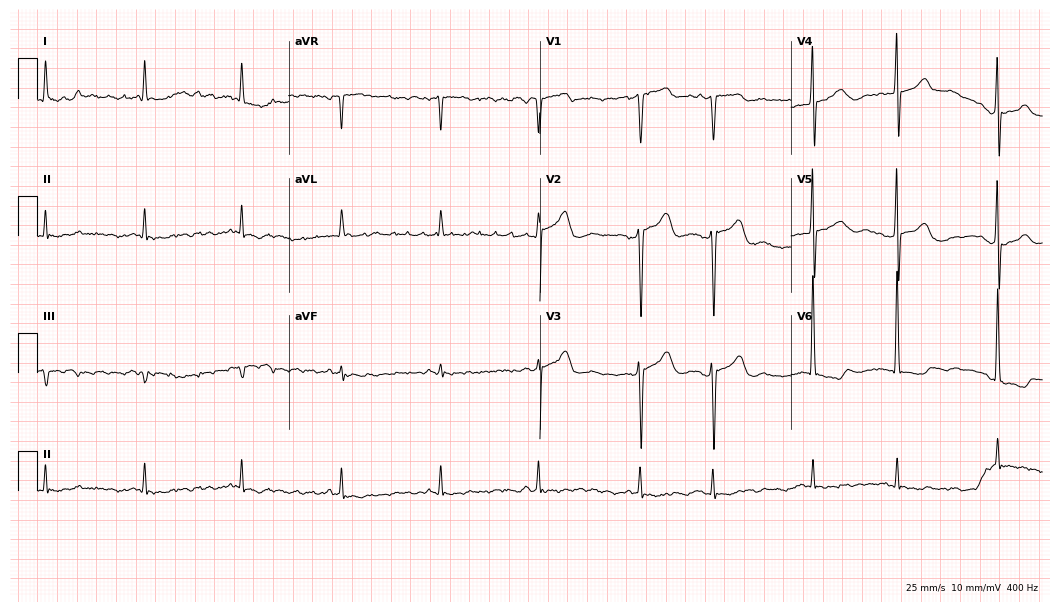
12-lead ECG from a 75-year-old man (10.2-second recording at 400 Hz). No first-degree AV block, right bundle branch block, left bundle branch block, sinus bradycardia, atrial fibrillation or sinus tachycardia recorded for this tracing.